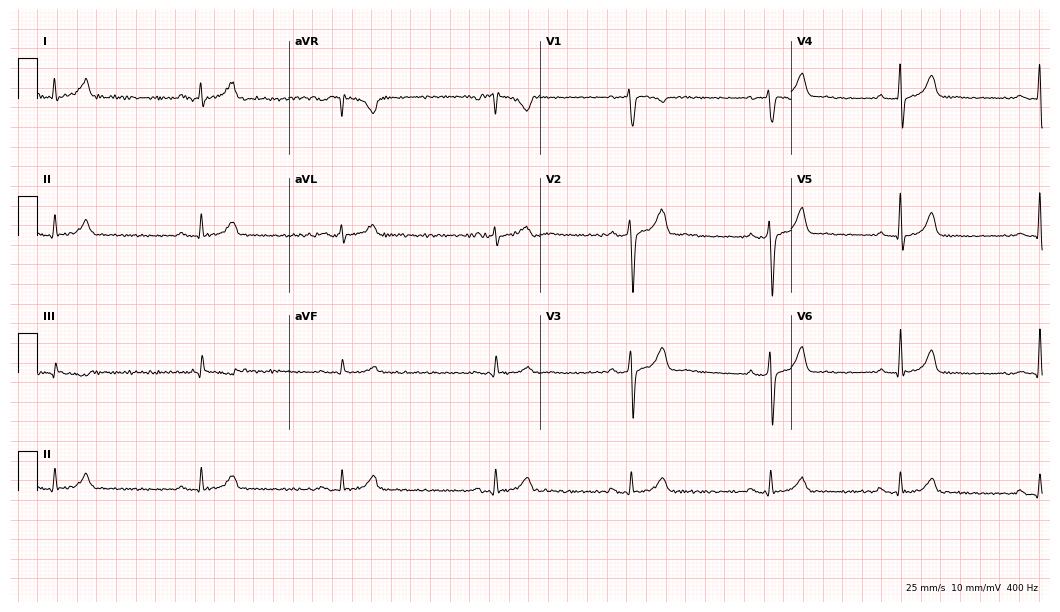
Standard 12-lead ECG recorded from a 43-year-old male (10.2-second recording at 400 Hz). The tracing shows first-degree AV block, sinus bradycardia (a sinus rate of 50 beats per minute or less).